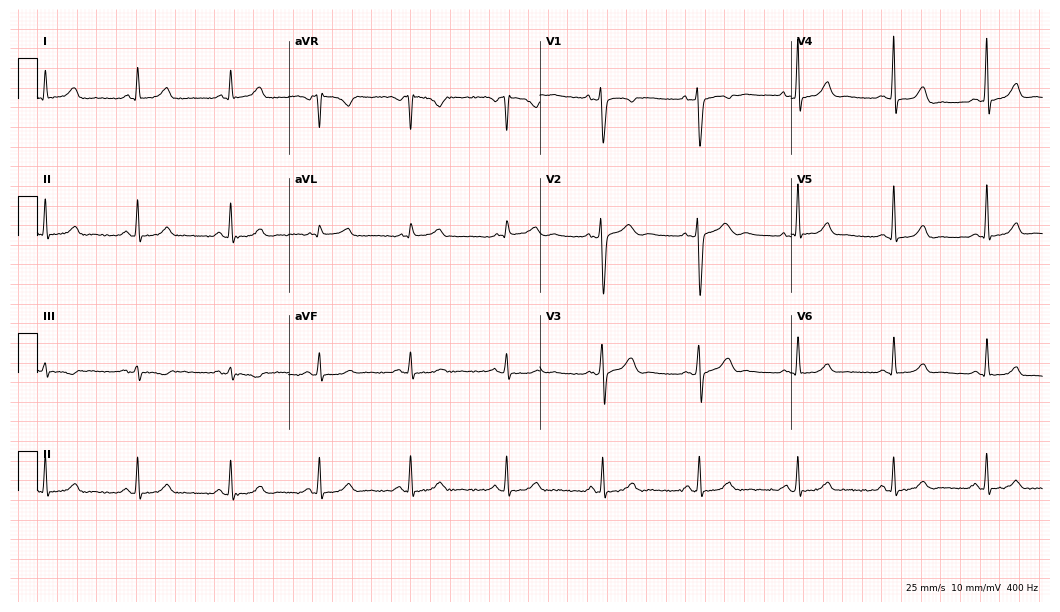
12-lead ECG (10.2-second recording at 400 Hz) from a 38-year-old woman. Labelled as a normal ECG.